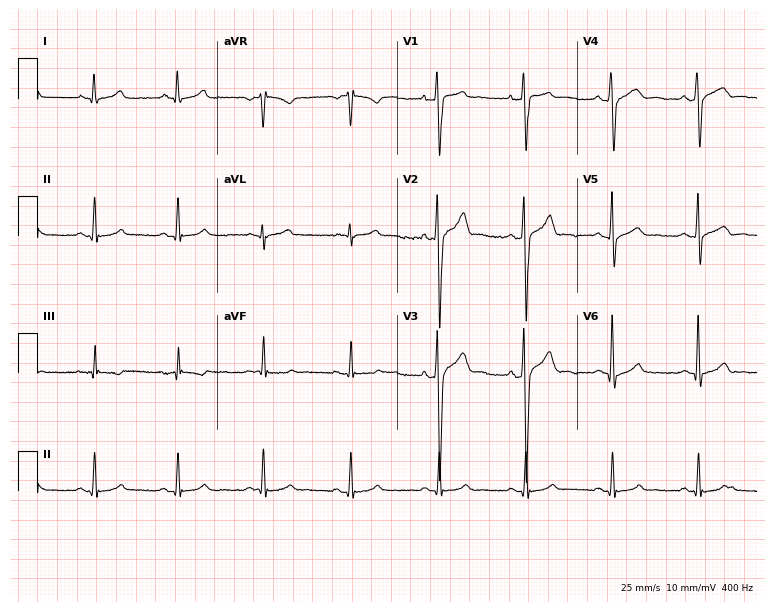
12-lead ECG from a 37-year-old male patient (7.3-second recording at 400 Hz). Recorded interpretation: within normal limits.